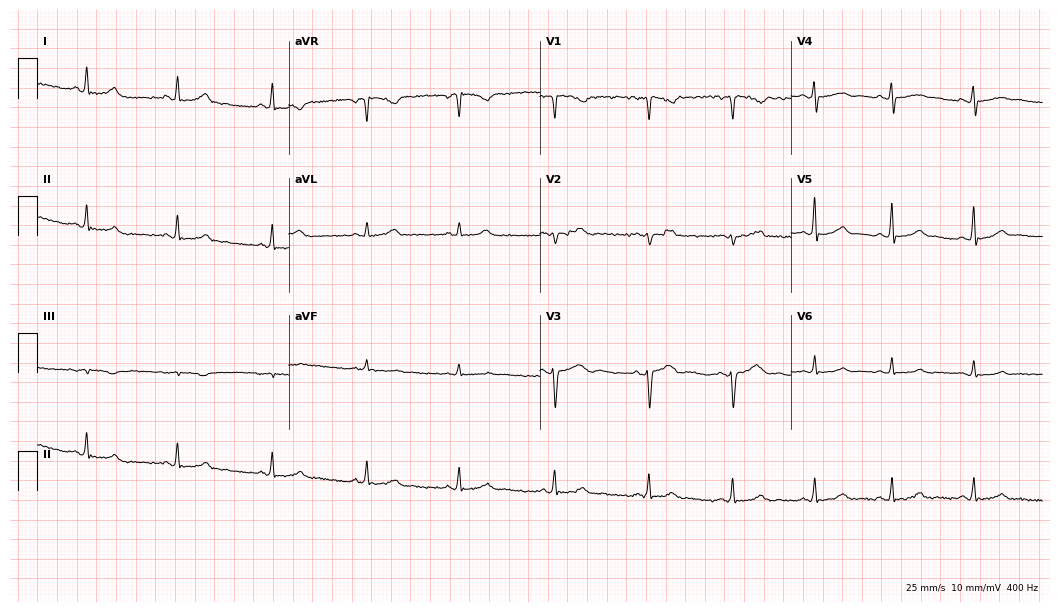
12-lead ECG from a female patient, 23 years old. No first-degree AV block, right bundle branch block, left bundle branch block, sinus bradycardia, atrial fibrillation or sinus tachycardia recorded for this tracing. Findings outside these six are not listed.